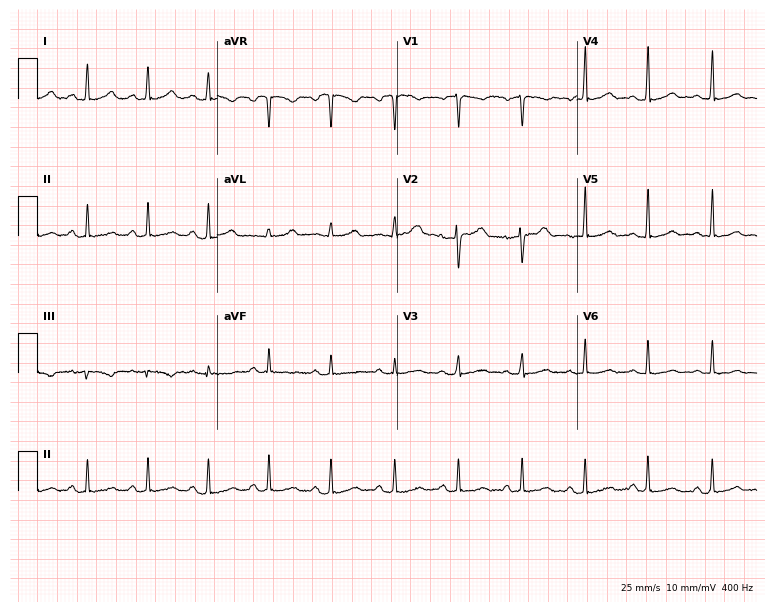
Standard 12-lead ECG recorded from a 27-year-old woman (7.3-second recording at 400 Hz). Read as a normal ECG.